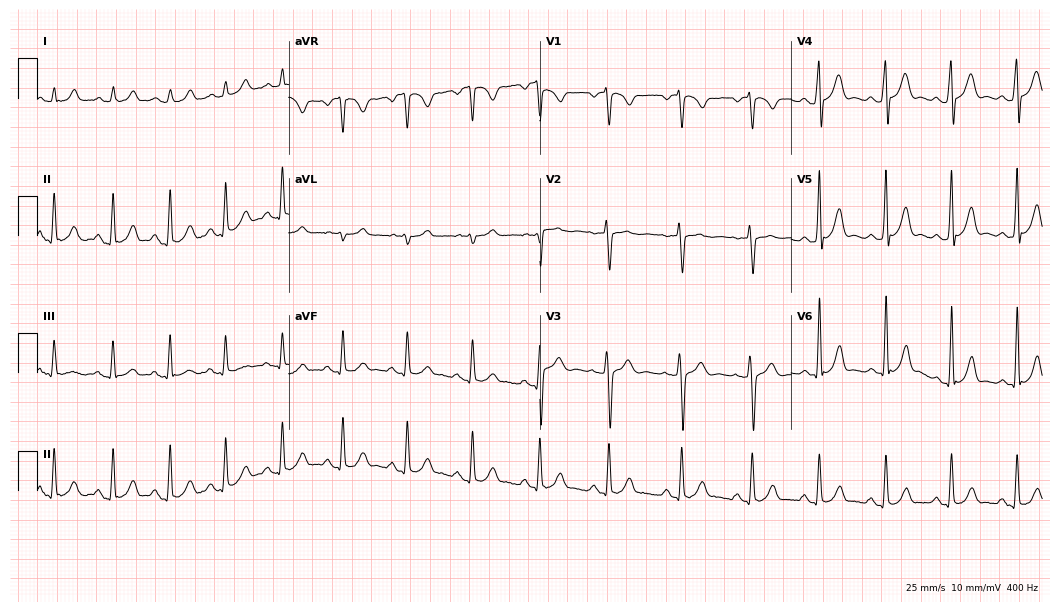
ECG (10.2-second recording at 400 Hz) — a 22-year-old male patient. Labelled as a normal ECG.